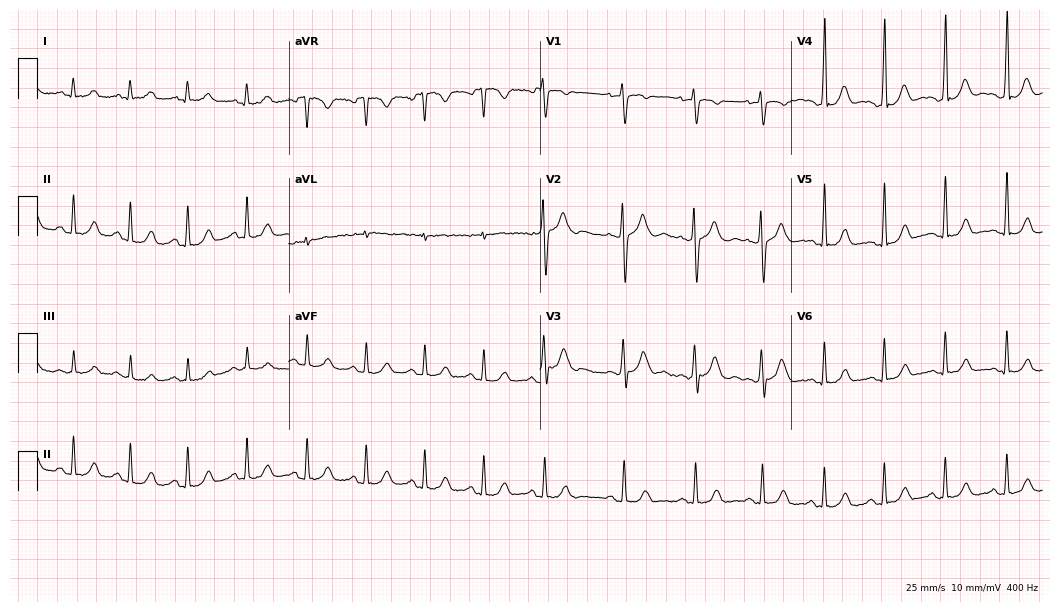
12-lead ECG from a female patient, 28 years old. Labelled as a normal ECG.